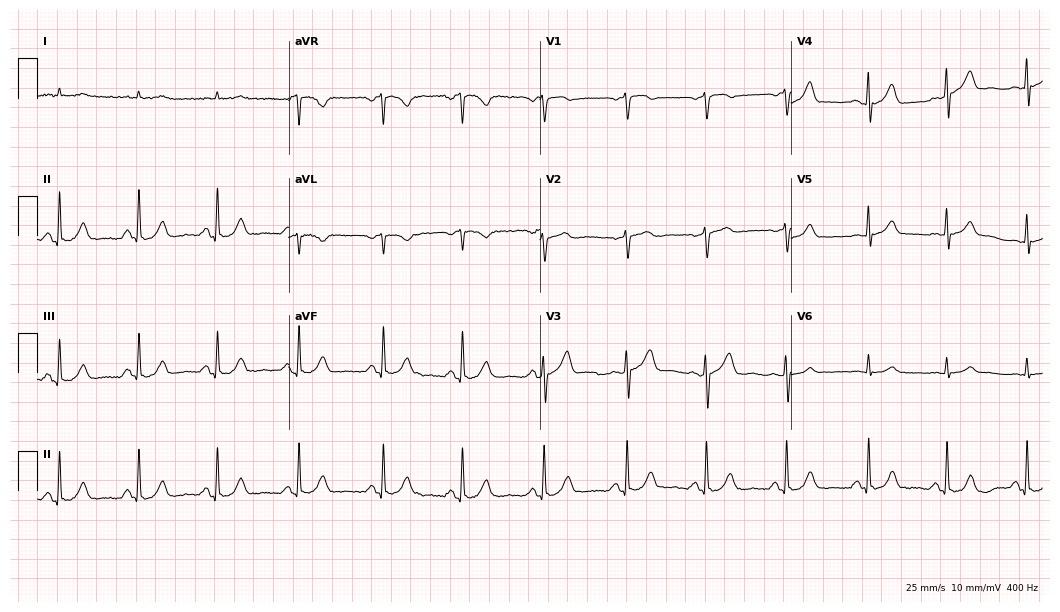
Resting 12-lead electrocardiogram. Patient: a male, 62 years old. None of these six findings is recorded: first-degree AV block, right bundle branch block (RBBB), left bundle branch block (LBBB), sinus bradycardia, atrial fibrillation (AF), sinus tachycardia. Other findings, if any, are not listed.